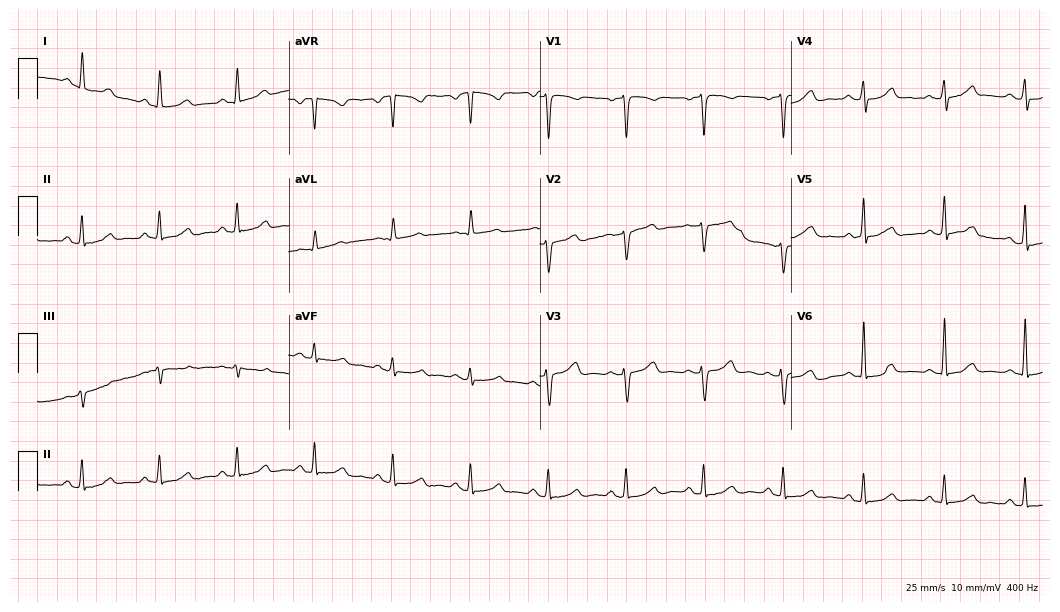
12-lead ECG from a 59-year-old female patient. Labelled as a normal ECG.